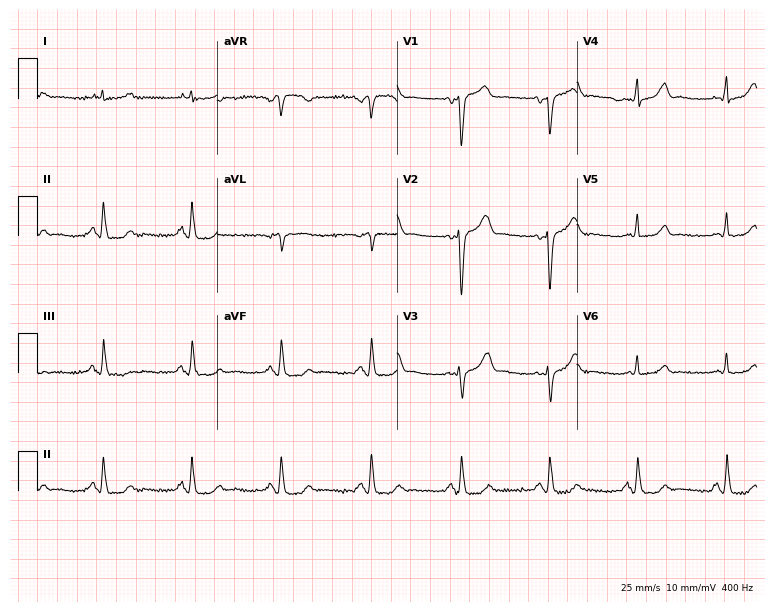
Electrocardiogram, a male, 55 years old. Overall reading on record: normal ECG.